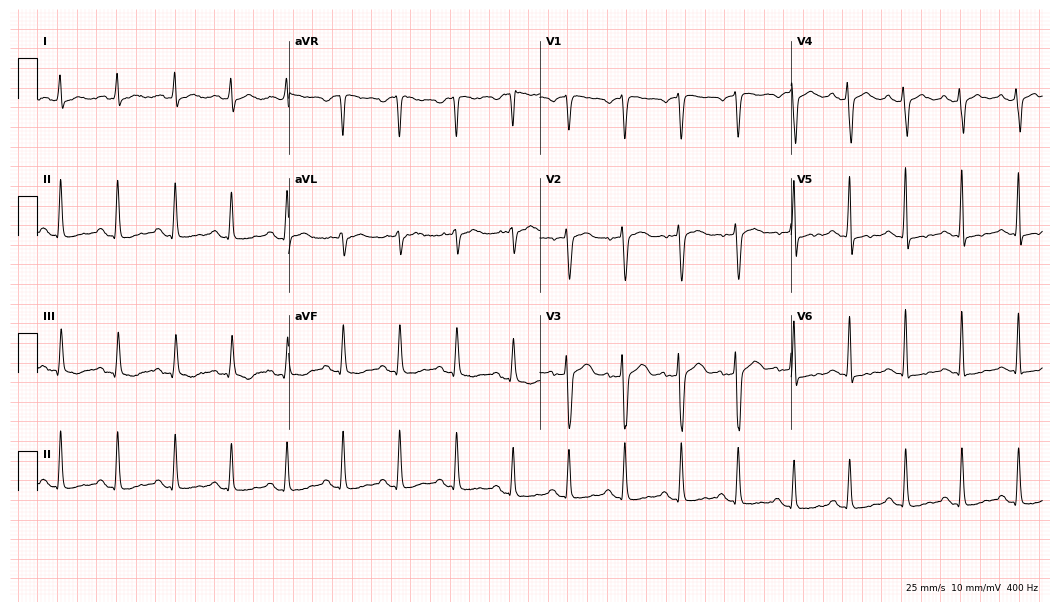
Resting 12-lead electrocardiogram (10.2-second recording at 400 Hz). Patient: a 53-year-old female. Read as a normal ECG.